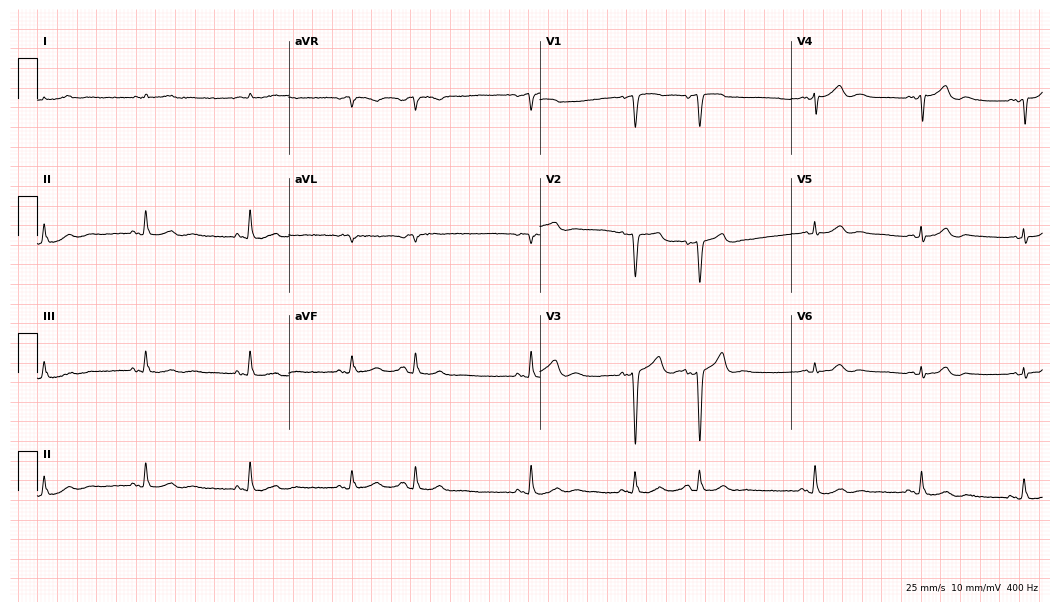
ECG — an 80-year-old male patient. Screened for six findings — first-degree AV block, right bundle branch block, left bundle branch block, sinus bradycardia, atrial fibrillation, sinus tachycardia — none is recorded. Other findings, if any, are not listed.